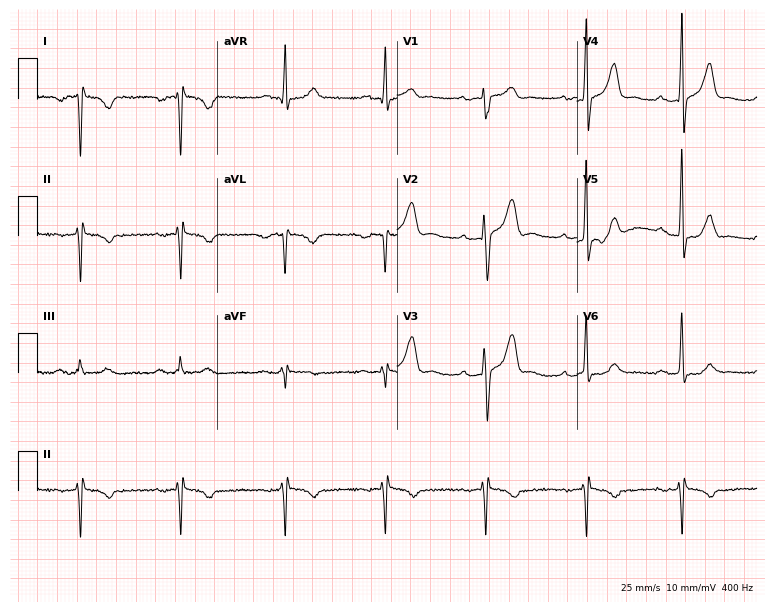
12-lead ECG from a female patient, 50 years old. No first-degree AV block, right bundle branch block, left bundle branch block, sinus bradycardia, atrial fibrillation or sinus tachycardia recorded for this tracing.